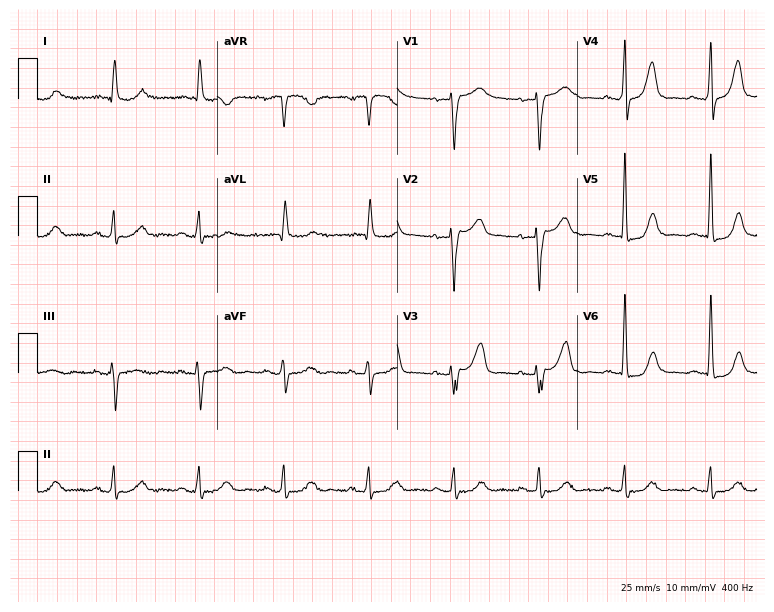
Electrocardiogram, a female patient, 24 years old. Of the six screened findings (first-degree AV block, right bundle branch block (RBBB), left bundle branch block (LBBB), sinus bradycardia, atrial fibrillation (AF), sinus tachycardia), none is recorded.